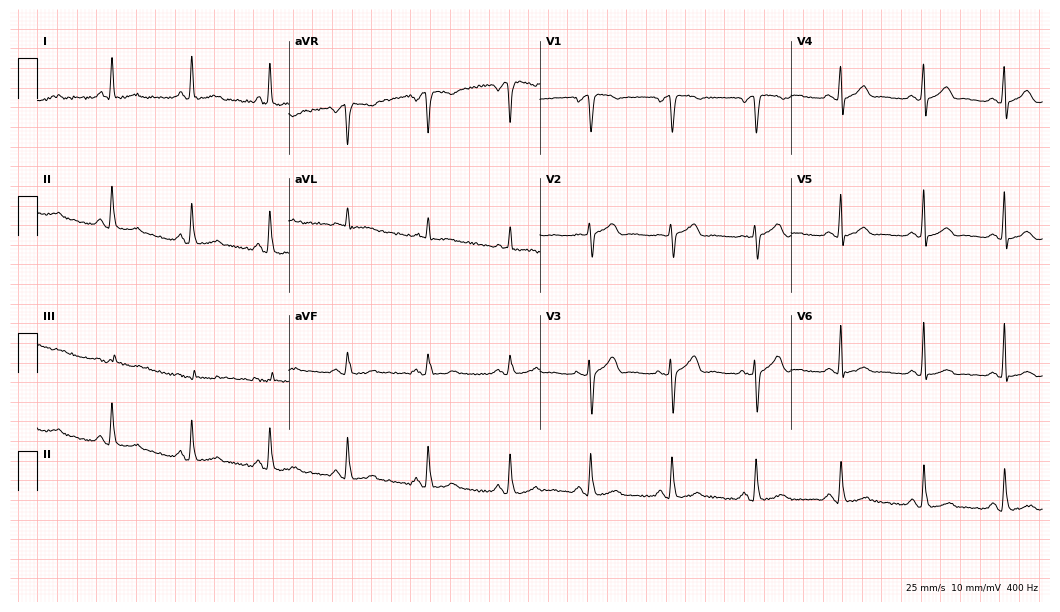
Standard 12-lead ECG recorded from a 59-year-old female patient (10.2-second recording at 400 Hz). Read as a normal ECG.